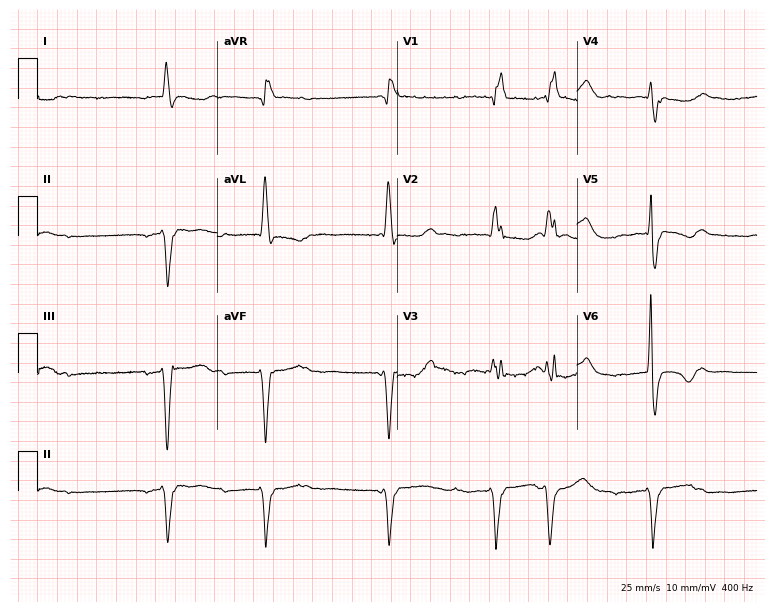
Standard 12-lead ECG recorded from a female patient, 79 years old (7.3-second recording at 400 Hz). None of these six findings is recorded: first-degree AV block, right bundle branch block, left bundle branch block, sinus bradycardia, atrial fibrillation, sinus tachycardia. Only these six findings were labelled.